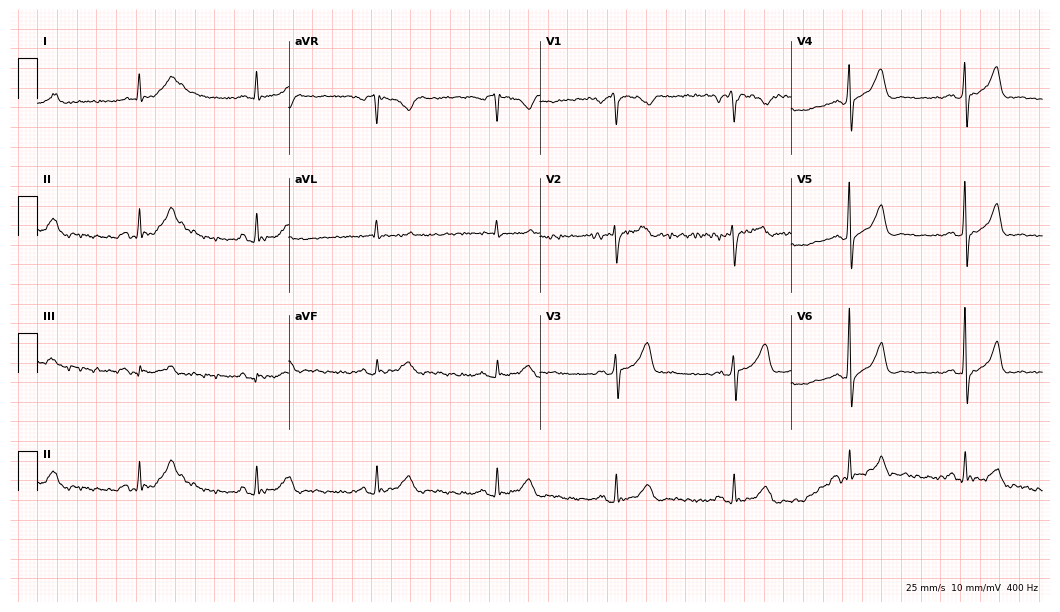
12-lead ECG from a male, 56 years old. Screened for six findings — first-degree AV block, right bundle branch block, left bundle branch block, sinus bradycardia, atrial fibrillation, sinus tachycardia — none is recorded.